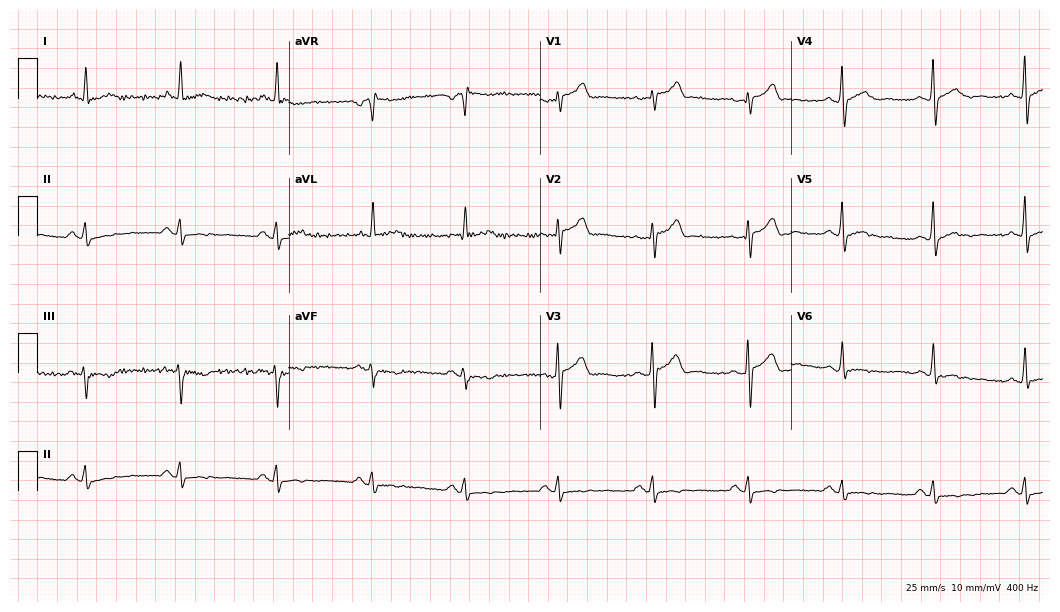
Electrocardiogram (10.2-second recording at 400 Hz), a 50-year-old male patient. Of the six screened findings (first-degree AV block, right bundle branch block (RBBB), left bundle branch block (LBBB), sinus bradycardia, atrial fibrillation (AF), sinus tachycardia), none is recorded.